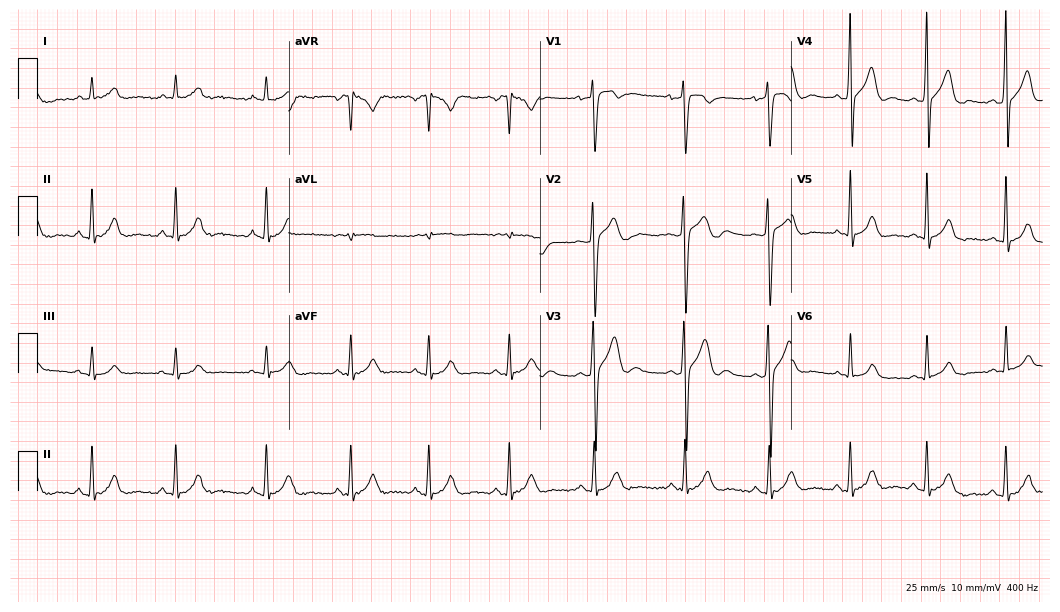
Resting 12-lead electrocardiogram (10.2-second recording at 400 Hz). Patient: a 23-year-old male. Read as a normal ECG.